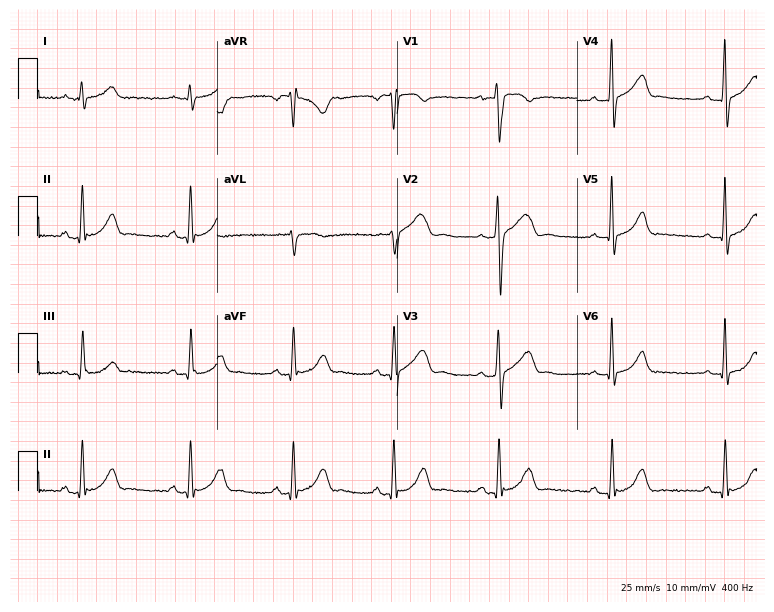
12-lead ECG from a 27-year-old man. Screened for six findings — first-degree AV block, right bundle branch block, left bundle branch block, sinus bradycardia, atrial fibrillation, sinus tachycardia — none is recorded. Only these six findings were labelled.